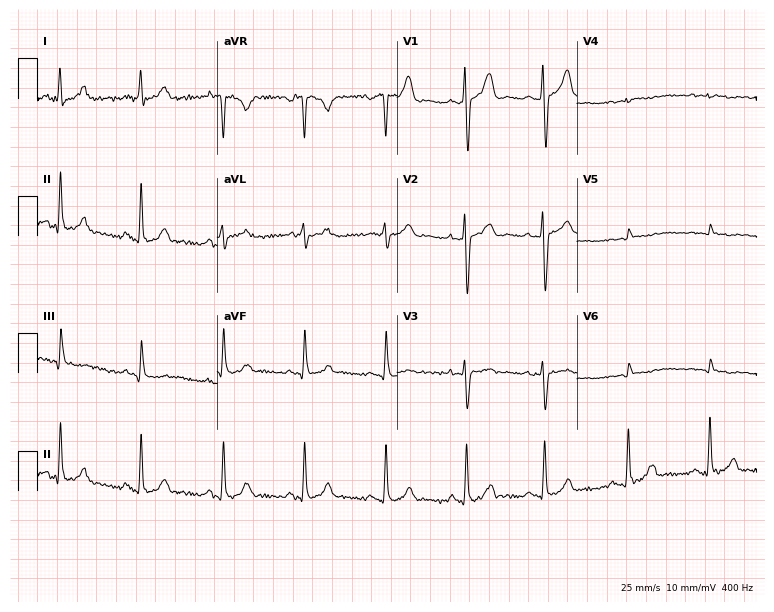
Electrocardiogram, a 25-year-old female. Of the six screened findings (first-degree AV block, right bundle branch block, left bundle branch block, sinus bradycardia, atrial fibrillation, sinus tachycardia), none is recorded.